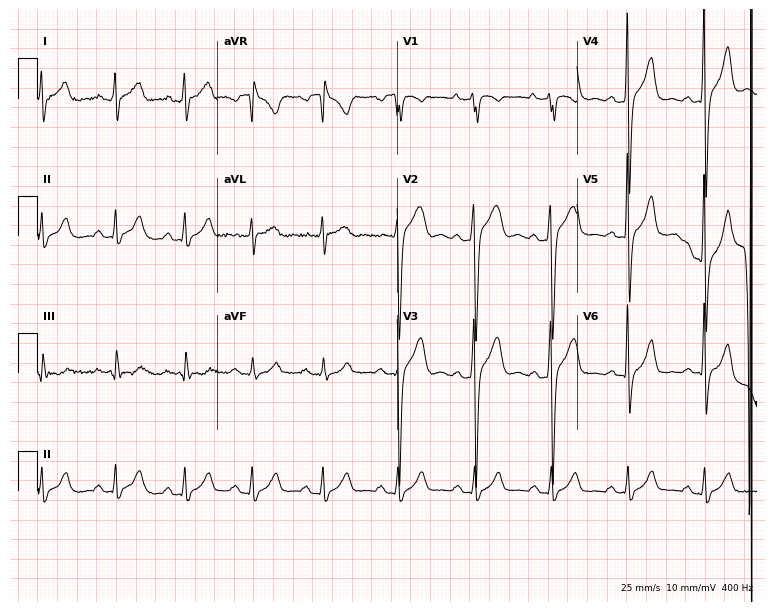
Resting 12-lead electrocardiogram. Patient: a 30-year-old male. Read as a normal ECG.